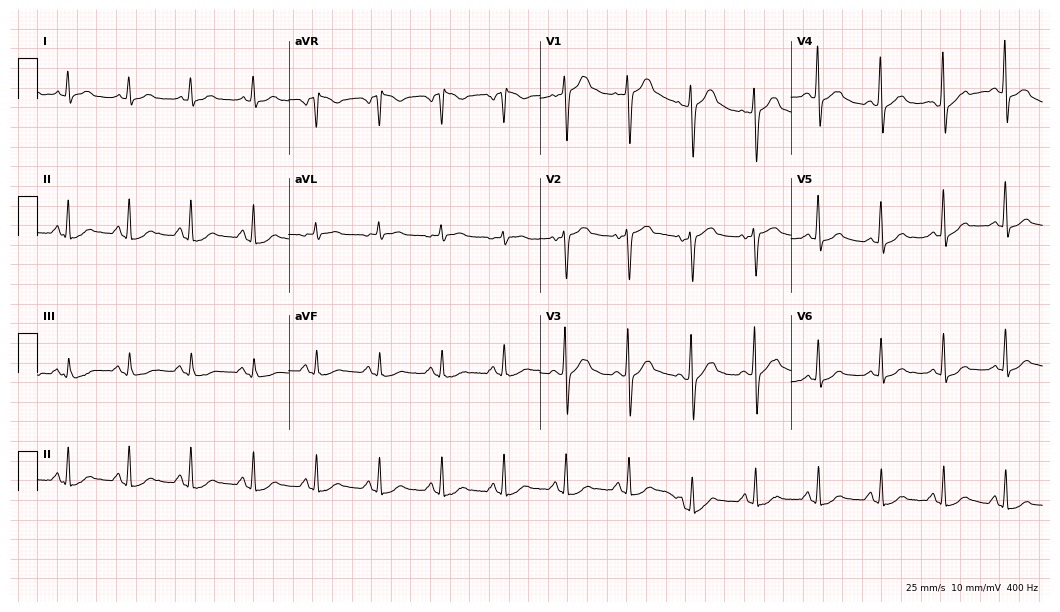
Resting 12-lead electrocardiogram (10.2-second recording at 400 Hz). Patient: a man, 64 years old. Read as a normal ECG.